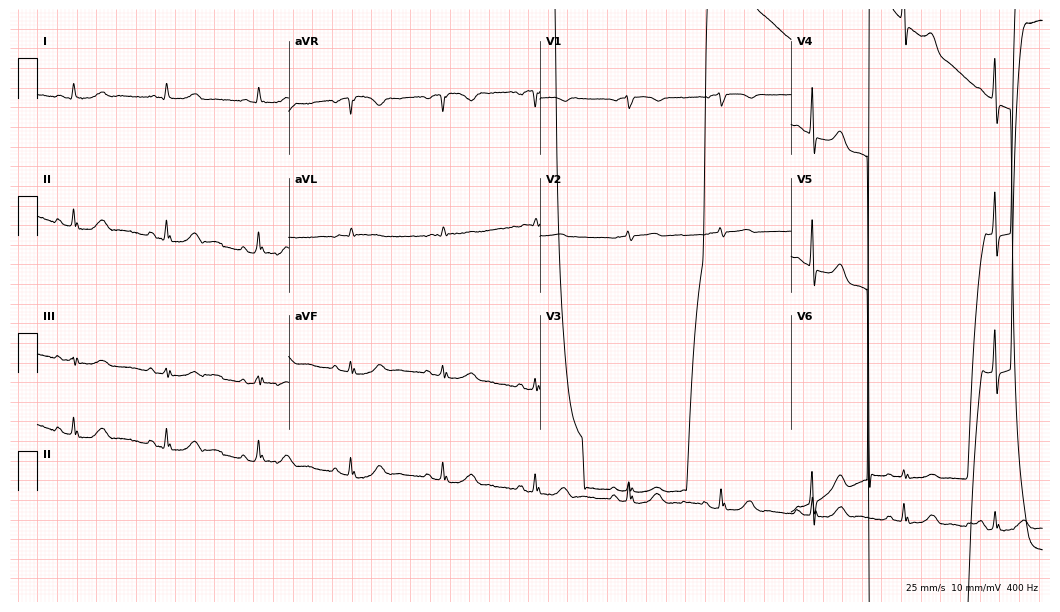
Resting 12-lead electrocardiogram. Patient: a male, 82 years old. None of these six findings is recorded: first-degree AV block, right bundle branch block (RBBB), left bundle branch block (LBBB), sinus bradycardia, atrial fibrillation (AF), sinus tachycardia.